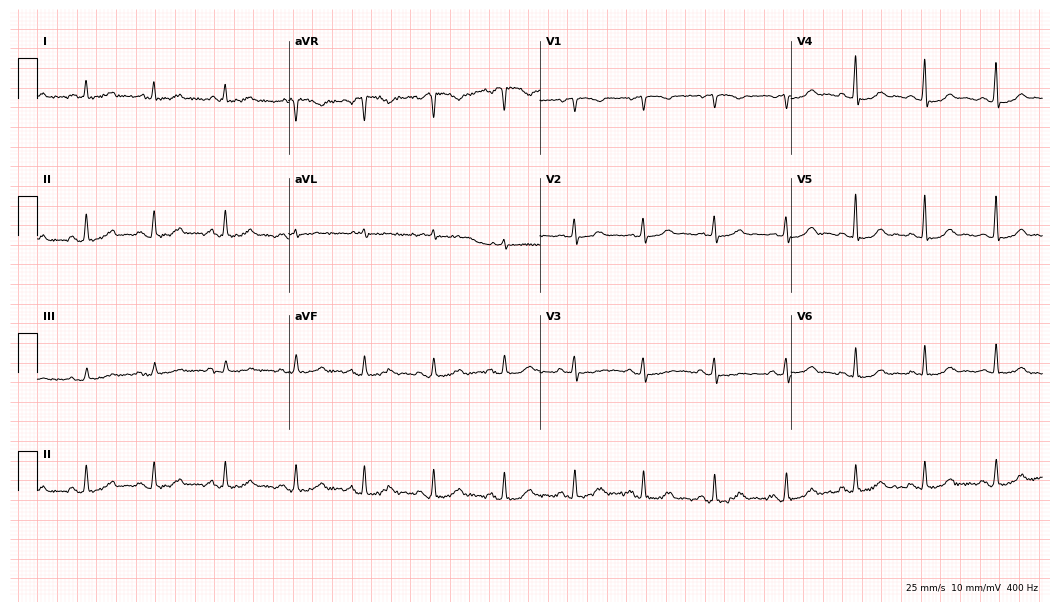
Electrocardiogram (10.2-second recording at 400 Hz), a 58-year-old woman. Of the six screened findings (first-degree AV block, right bundle branch block, left bundle branch block, sinus bradycardia, atrial fibrillation, sinus tachycardia), none is recorded. Other findings, if any, are not listed.